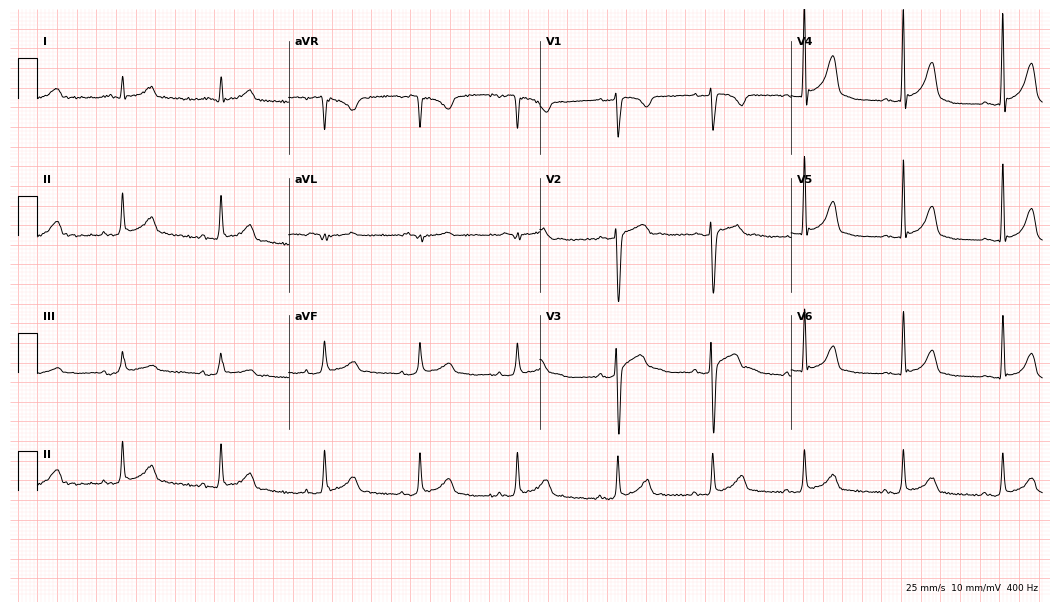
Standard 12-lead ECG recorded from a 19-year-old man. None of these six findings is recorded: first-degree AV block, right bundle branch block, left bundle branch block, sinus bradycardia, atrial fibrillation, sinus tachycardia. Only these six findings were labelled.